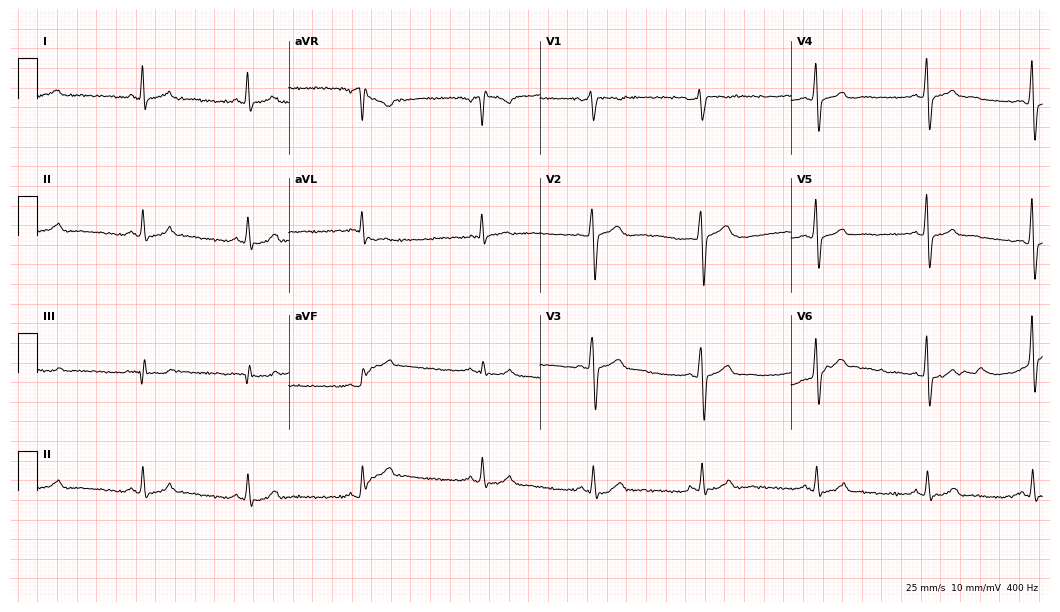
Resting 12-lead electrocardiogram. Patient: a 38-year-old male. None of these six findings is recorded: first-degree AV block, right bundle branch block, left bundle branch block, sinus bradycardia, atrial fibrillation, sinus tachycardia. Other findings, if any, are not listed.